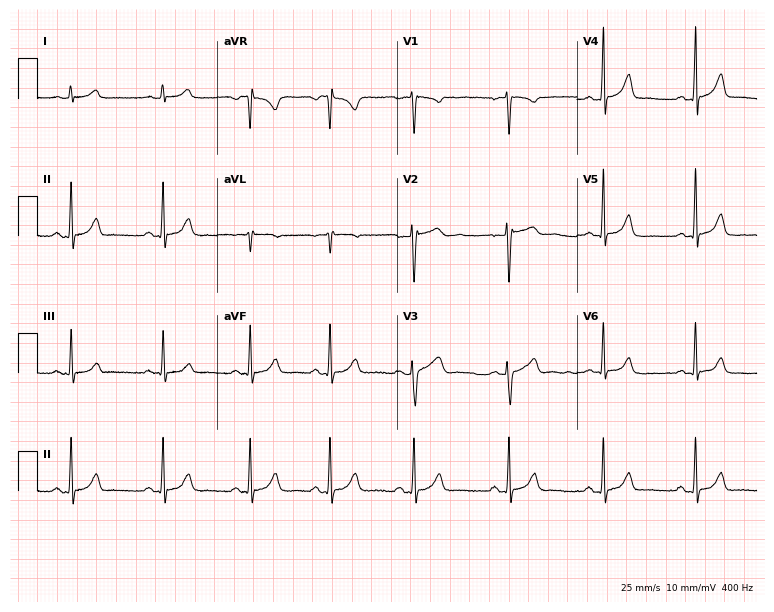
Resting 12-lead electrocardiogram (7.3-second recording at 400 Hz). Patient: a female, 28 years old. None of these six findings is recorded: first-degree AV block, right bundle branch block (RBBB), left bundle branch block (LBBB), sinus bradycardia, atrial fibrillation (AF), sinus tachycardia. Only these six findings were labelled.